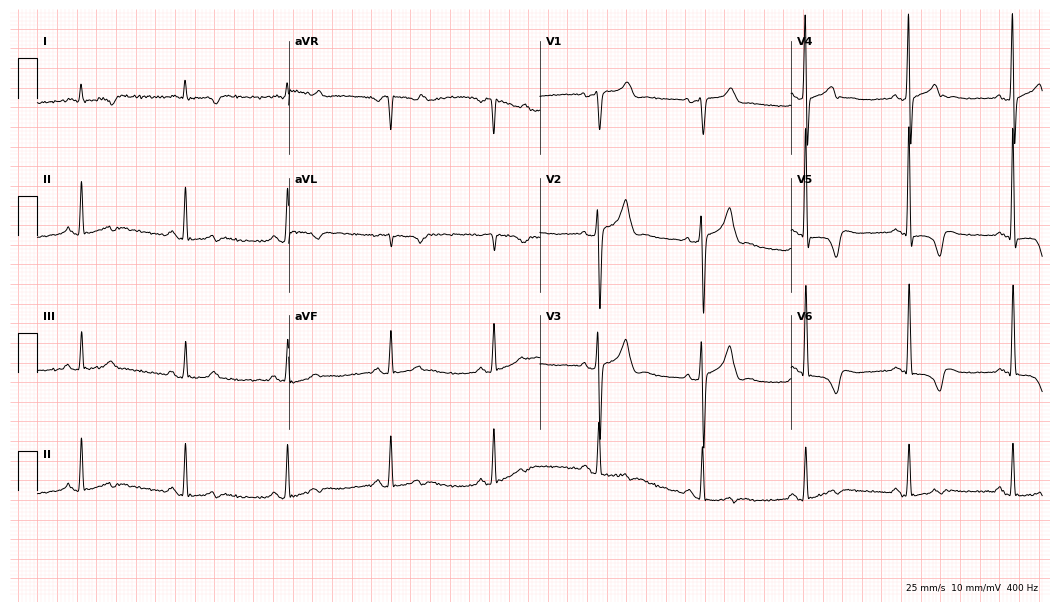
Electrocardiogram, a man, 68 years old. Of the six screened findings (first-degree AV block, right bundle branch block, left bundle branch block, sinus bradycardia, atrial fibrillation, sinus tachycardia), none is recorded. Other findings, if any, are not listed.